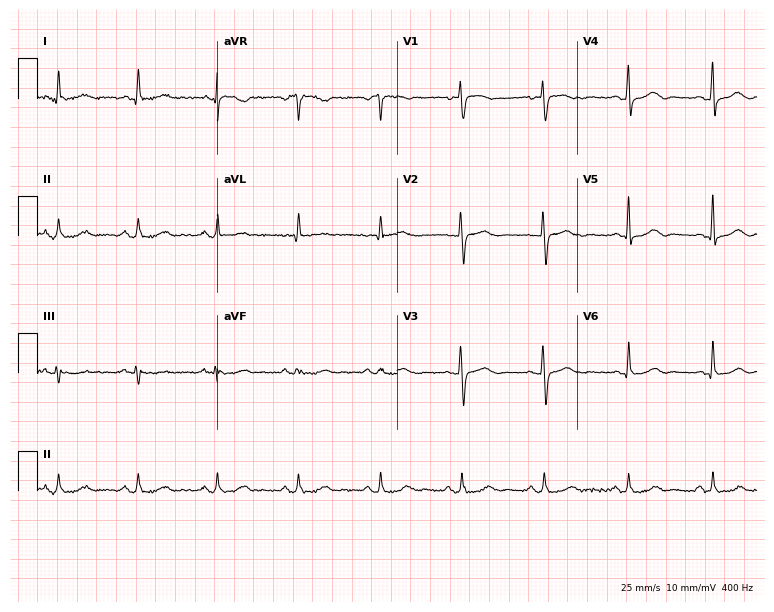
12-lead ECG from a 73-year-old female (7.3-second recording at 400 Hz). Recorded interpretation: within normal limits.